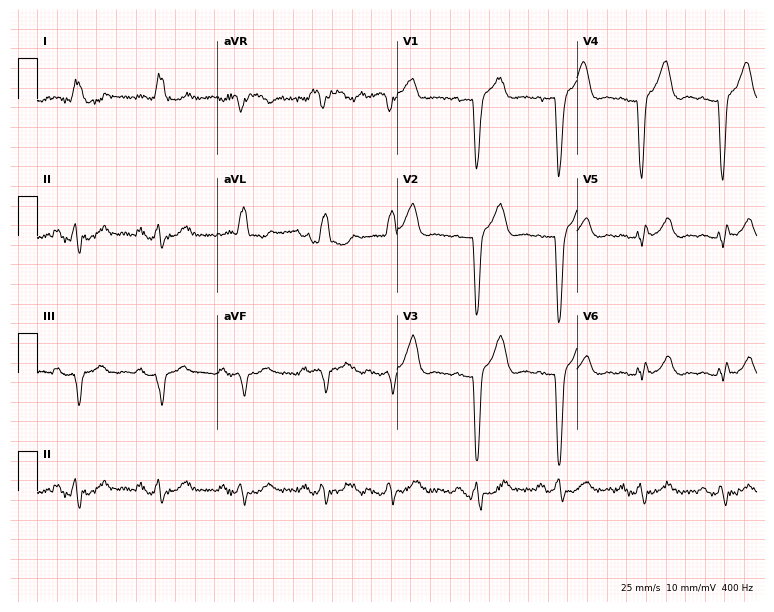
Electrocardiogram, an 82-year-old woman. Interpretation includes left bundle branch block.